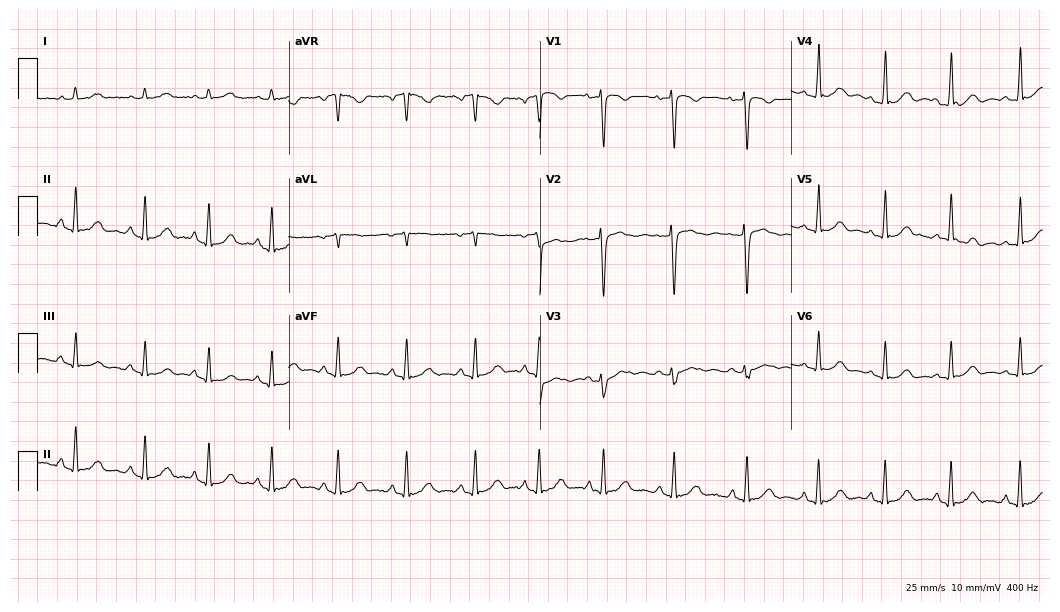
Resting 12-lead electrocardiogram. Patient: a woman, 26 years old. Read as a normal ECG.